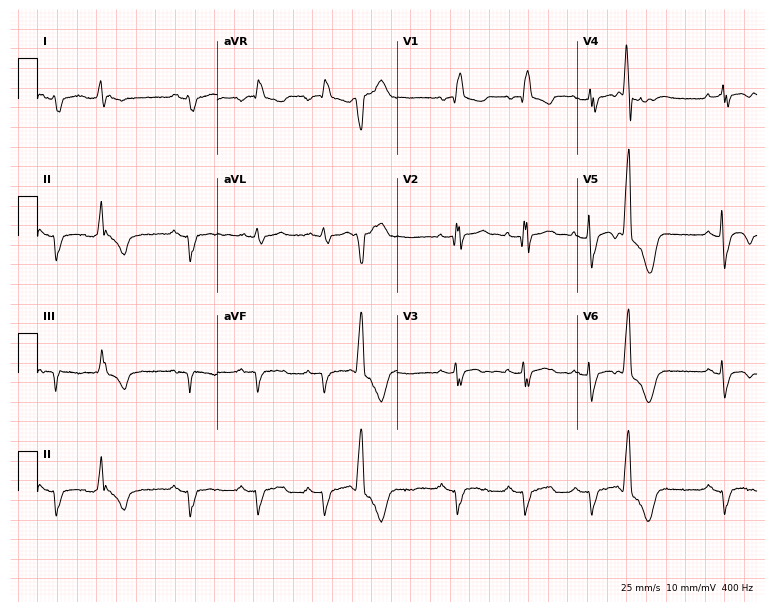
Standard 12-lead ECG recorded from a 56-year-old male patient (7.3-second recording at 400 Hz). The tracing shows right bundle branch block.